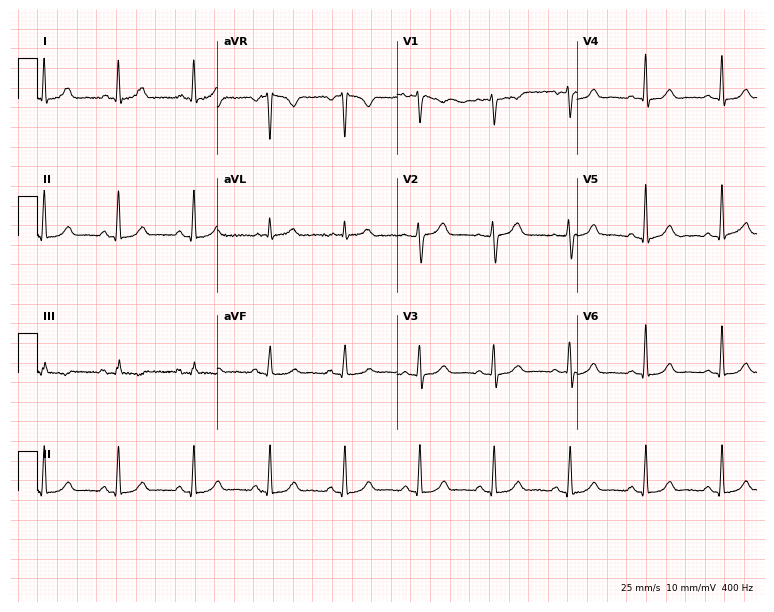
12-lead ECG from a female patient, 61 years old (7.3-second recording at 400 Hz). Recorded interpretation: within normal limits.